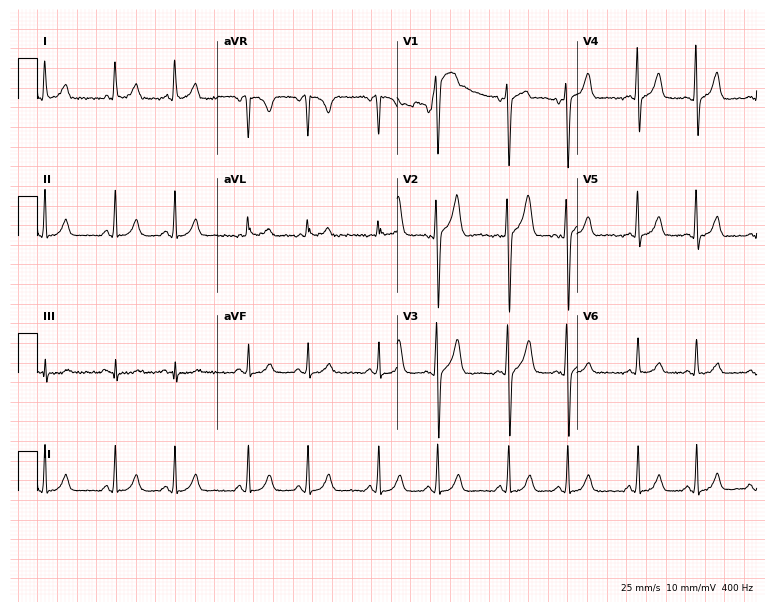
Standard 12-lead ECG recorded from a 44-year-old male. Read as a normal ECG.